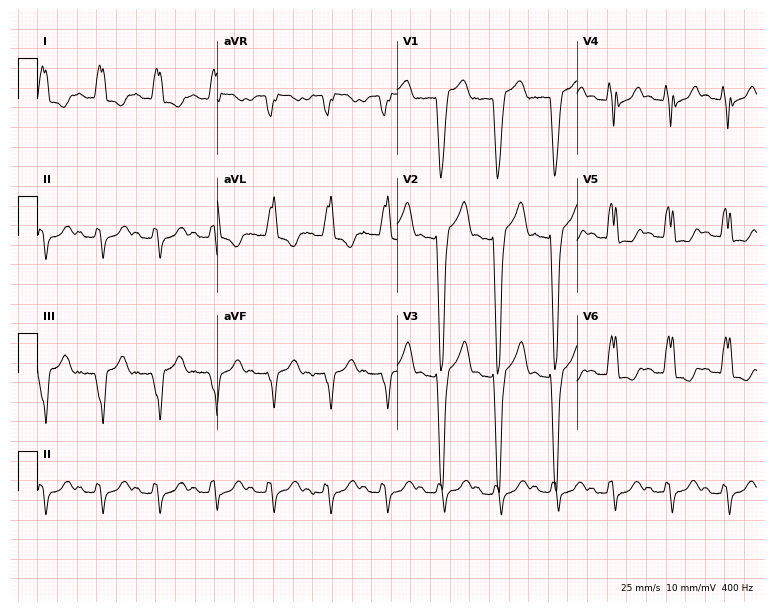
12-lead ECG from an 84-year-old woman. Findings include left bundle branch block (LBBB), sinus tachycardia (a sinus rate of 100 beats per minute or more).